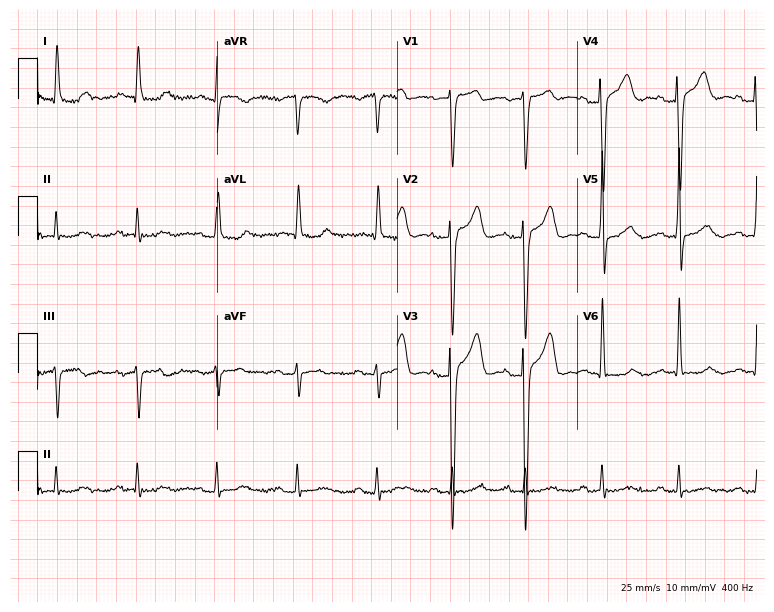
Resting 12-lead electrocardiogram (7.3-second recording at 400 Hz). Patient: a 69-year-old man. Read as a normal ECG.